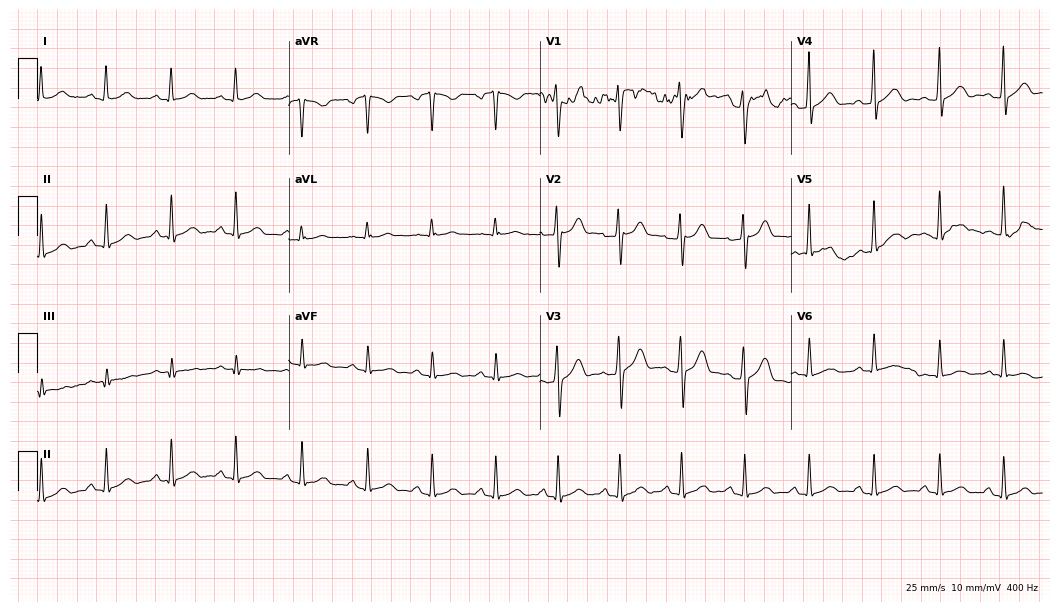
Standard 12-lead ECG recorded from a male, 36 years old. Read as a normal ECG.